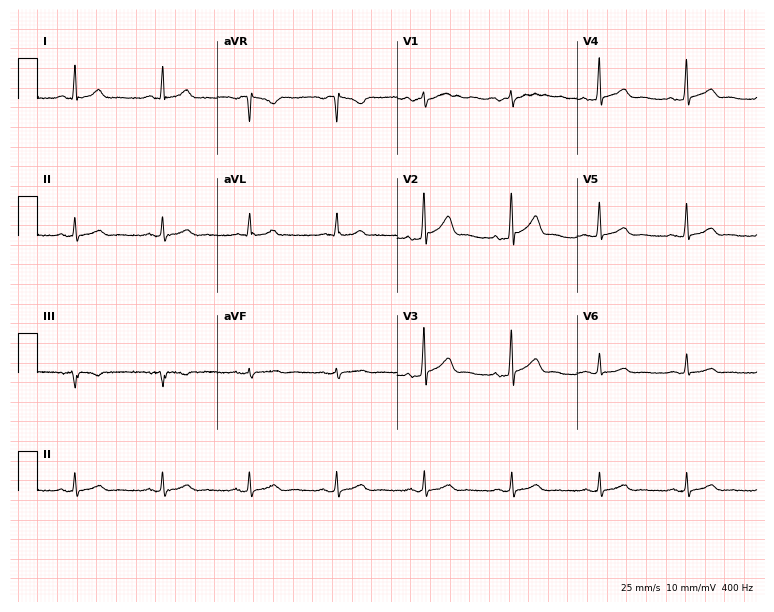
Standard 12-lead ECG recorded from a male, 59 years old. Read as a normal ECG.